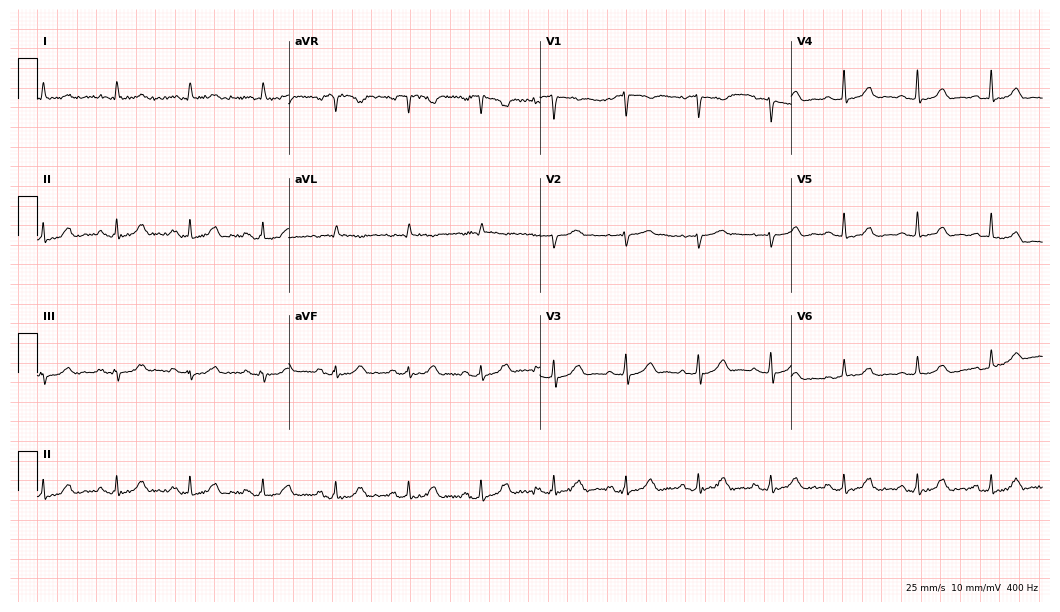
Electrocardiogram (10.2-second recording at 400 Hz), a female patient, 76 years old. Of the six screened findings (first-degree AV block, right bundle branch block (RBBB), left bundle branch block (LBBB), sinus bradycardia, atrial fibrillation (AF), sinus tachycardia), none is recorded.